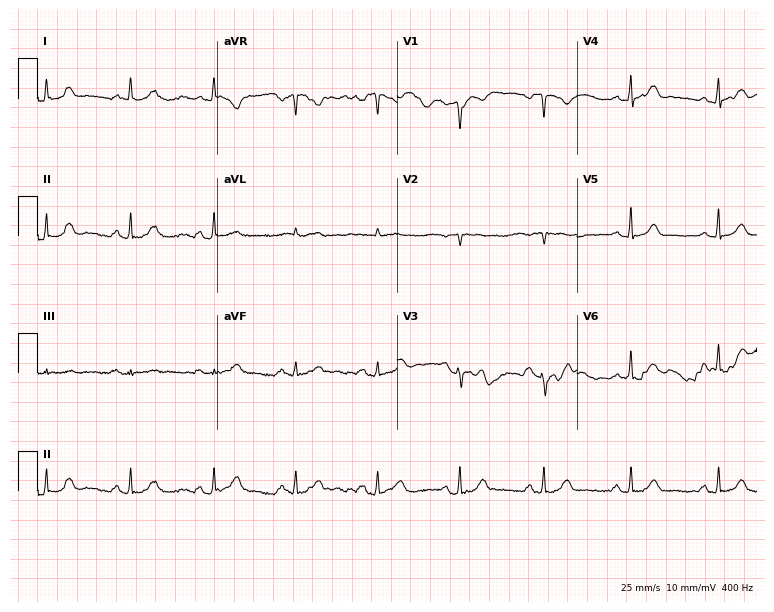
Electrocardiogram (7.3-second recording at 400 Hz), a woman, 62 years old. Overall reading on record: normal ECG.